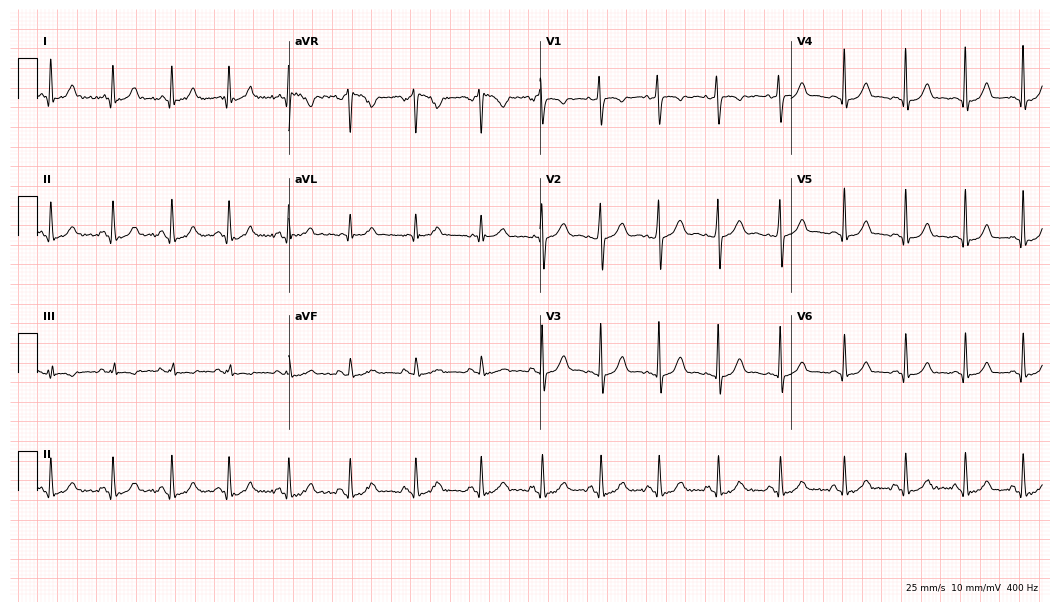
Resting 12-lead electrocardiogram. Patient: a 22-year-old woman. None of these six findings is recorded: first-degree AV block, right bundle branch block, left bundle branch block, sinus bradycardia, atrial fibrillation, sinus tachycardia.